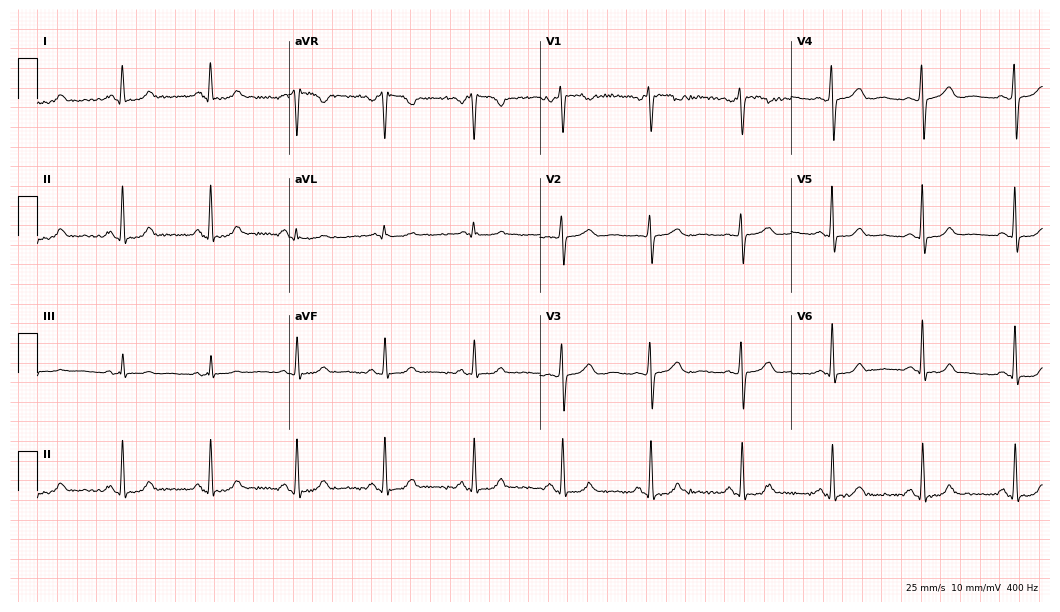
Standard 12-lead ECG recorded from a woman, 35 years old (10.2-second recording at 400 Hz). Read as a normal ECG.